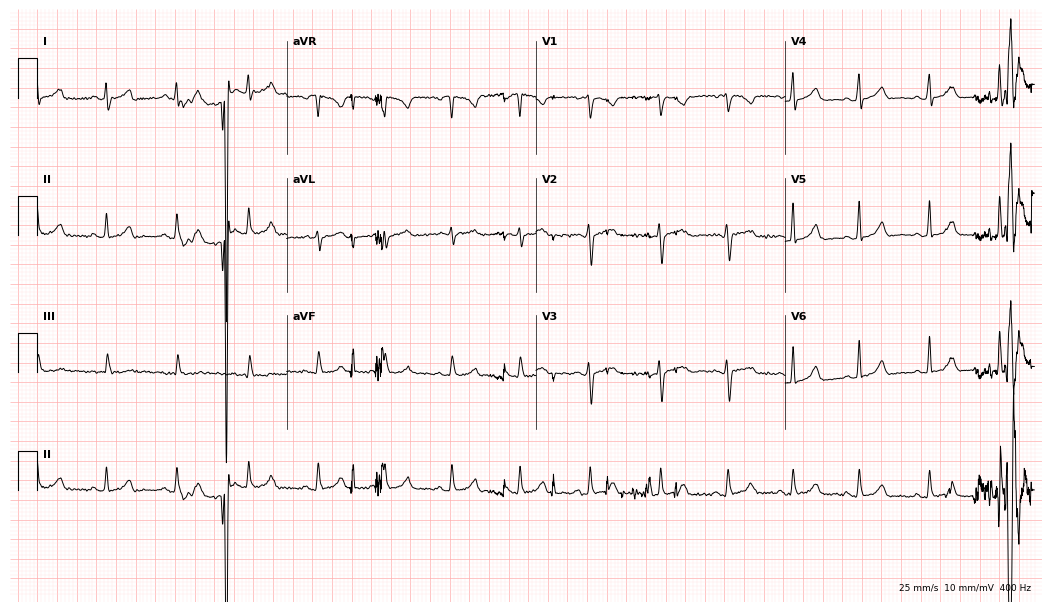
Electrocardiogram (10.2-second recording at 400 Hz), a female, 23 years old. Overall reading on record: normal ECG.